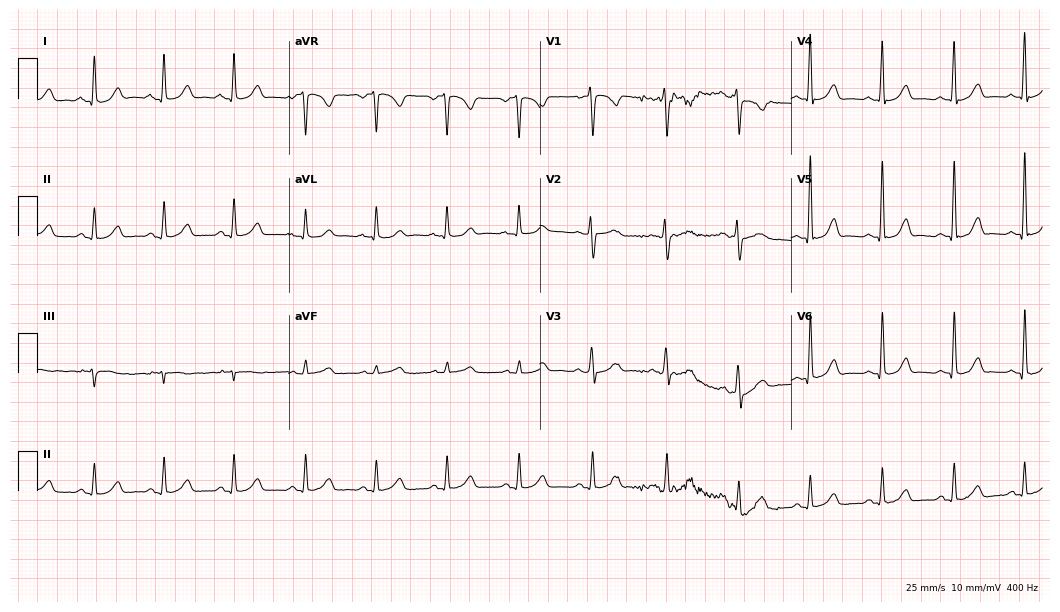
ECG (10.2-second recording at 400 Hz) — a female, 46 years old. Labelled as a normal ECG.